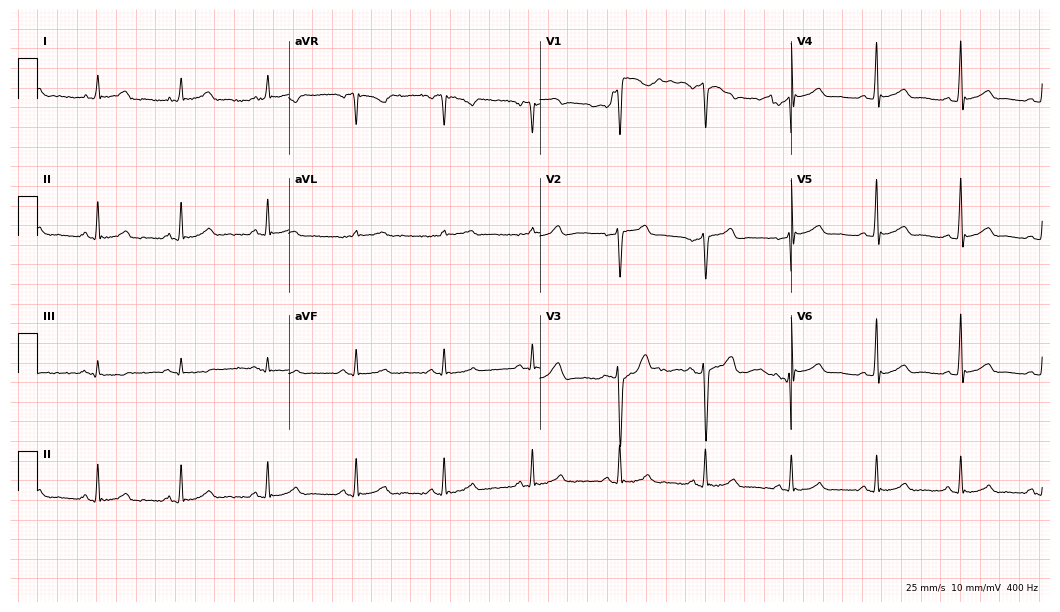
ECG — a male, 44 years old. Labelled as a normal ECG.